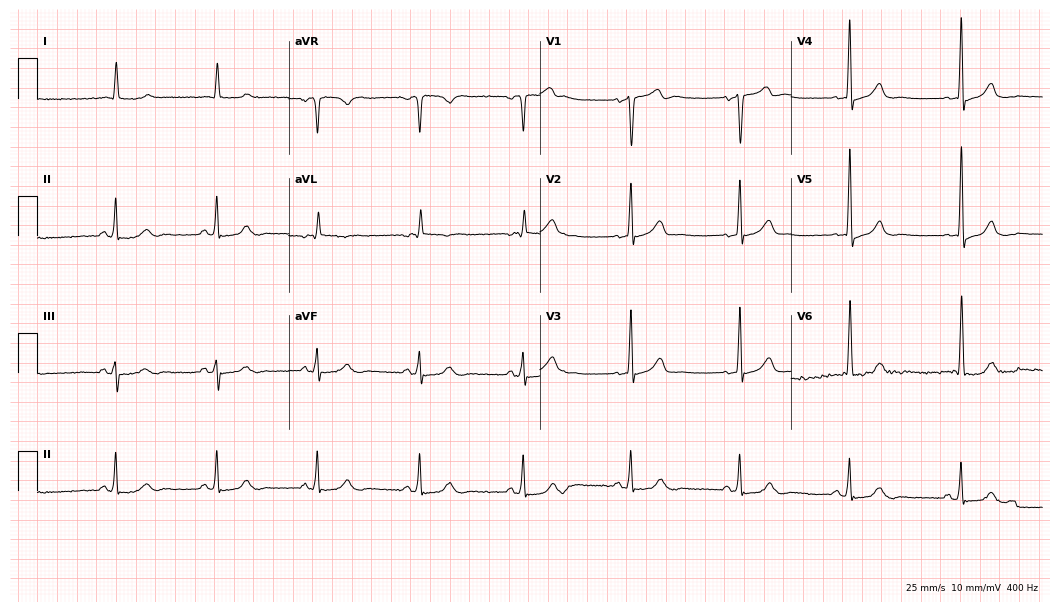
Resting 12-lead electrocardiogram (10.2-second recording at 400 Hz). Patient: a 73-year-old man. Read as a normal ECG.